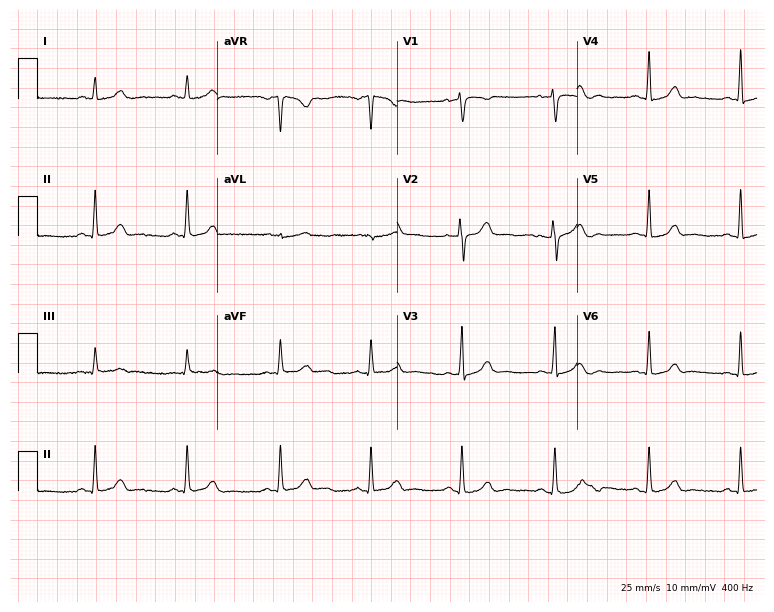
Resting 12-lead electrocardiogram. Patient: a woman, 59 years old. Read as a normal ECG.